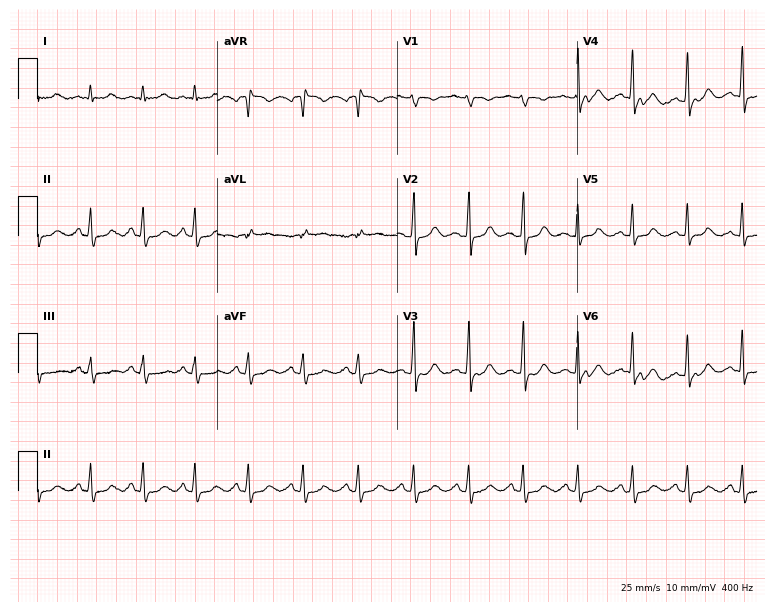
Standard 12-lead ECG recorded from a 37-year-old woman. The tracing shows sinus tachycardia (a sinus rate of 100 beats per minute or more).